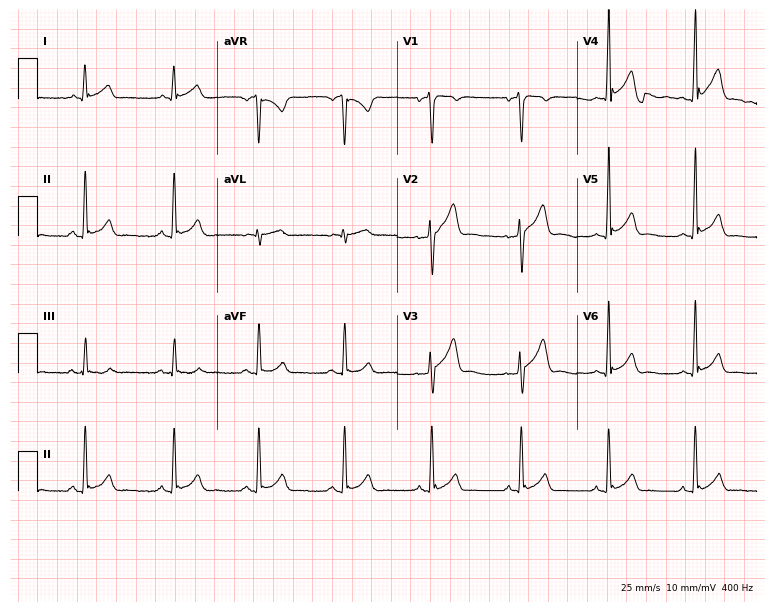
Electrocardiogram (7.3-second recording at 400 Hz), a man, 30 years old. Of the six screened findings (first-degree AV block, right bundle branch block, left bundle branch block, sinus bradycardia, atrial fibrillation, sinus tachycardia), none is recorded. Other findings, if any, are not listed.